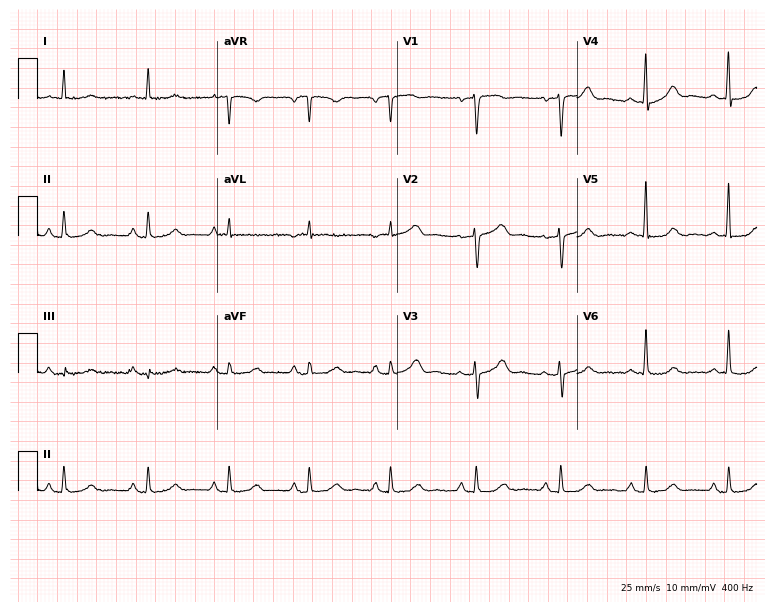
12-lead ECG (7.3-second recording at 400 Hz) from a 61-year-old female patient. Screened for six findings — first-degree AV block, right bundle branch block, left bundle branch block, sinus bradycardia, atrial fibrillation, sinus tachycardia — none is recorded. Only these six findings were labelled.